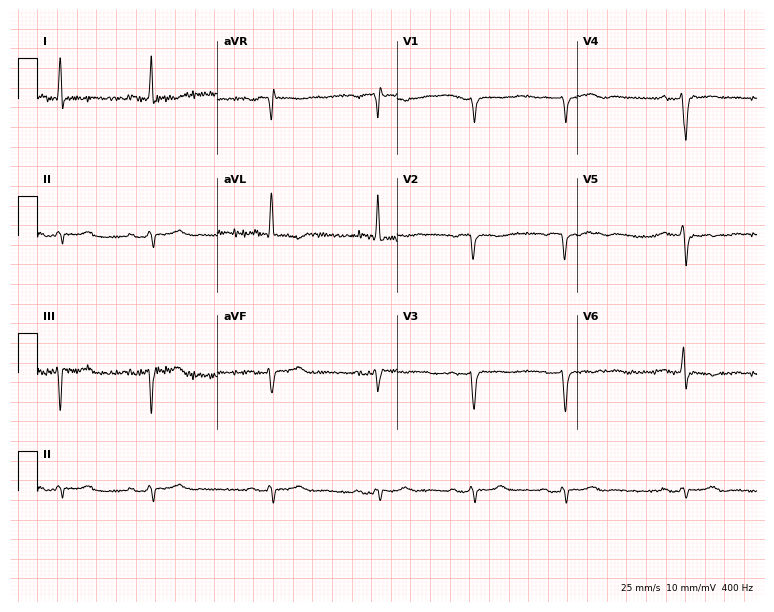
Electrocardiogram, a female, 71 years old. Of the six screened findings (first-degree AV block, right bundle branch block (RBBB), left bundle branch block (LBBB), sinus bradycardia, atrial fibrillation (AF), sinus tachycardia), none is recorded.